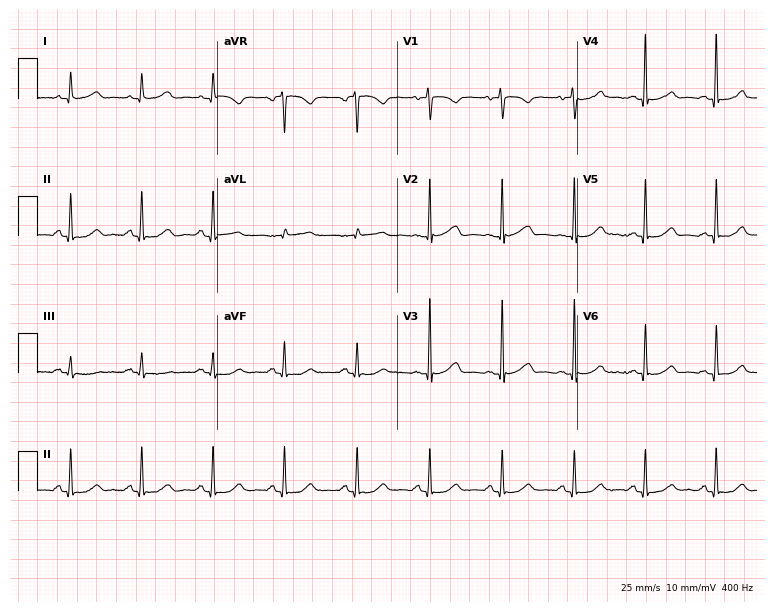
Standard 12-lead ECG recorded from a 63-year-old female. Read as a normal ECG.